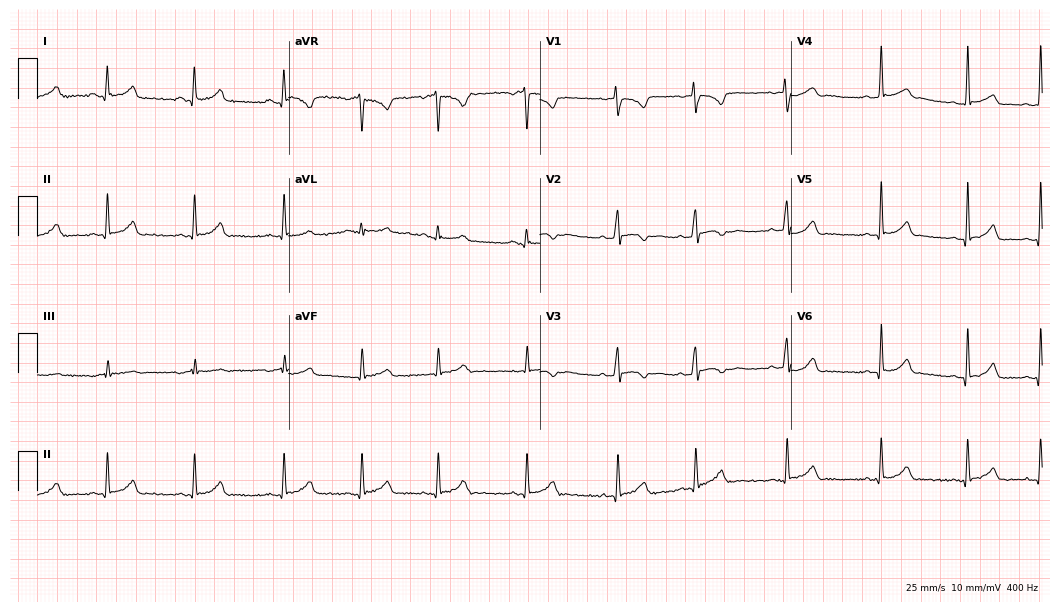
Standard 12-lead ECG recorded from a woman, 21 years old (10.2-second recording at 400 Hz). None of these six findings is recorded: first-degree AV block, right bundle branch block, left bundle branch block, sinus bradycardia, atrial fibrillation, sinus tachycardia. Findings outside these six are not listed.